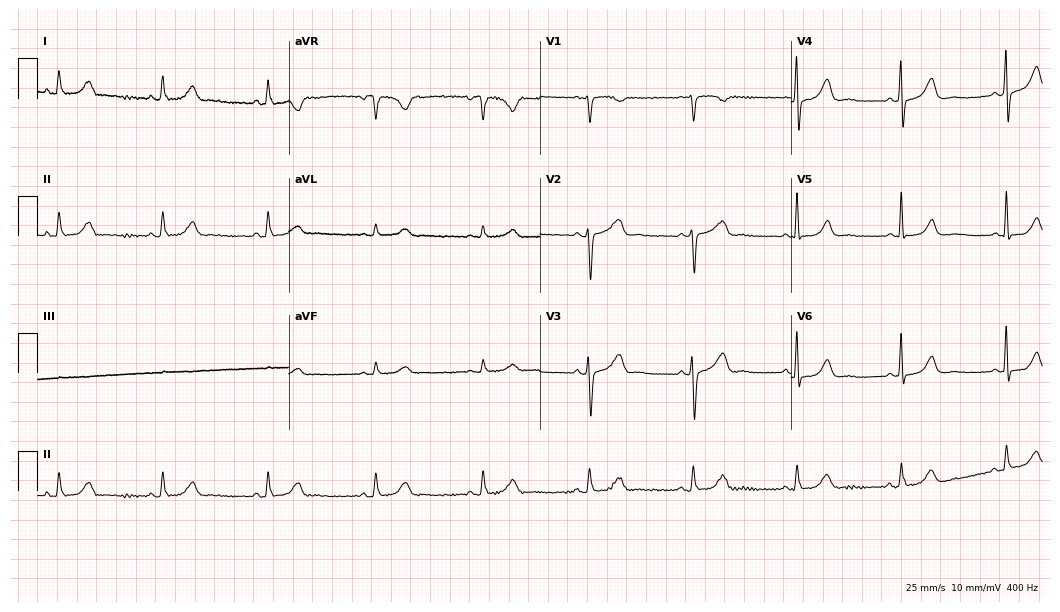
Standard 12-lead ECG recorded from a female, 54 years old (10.2-second recording at 400 Hz). Read as a normal ECG.